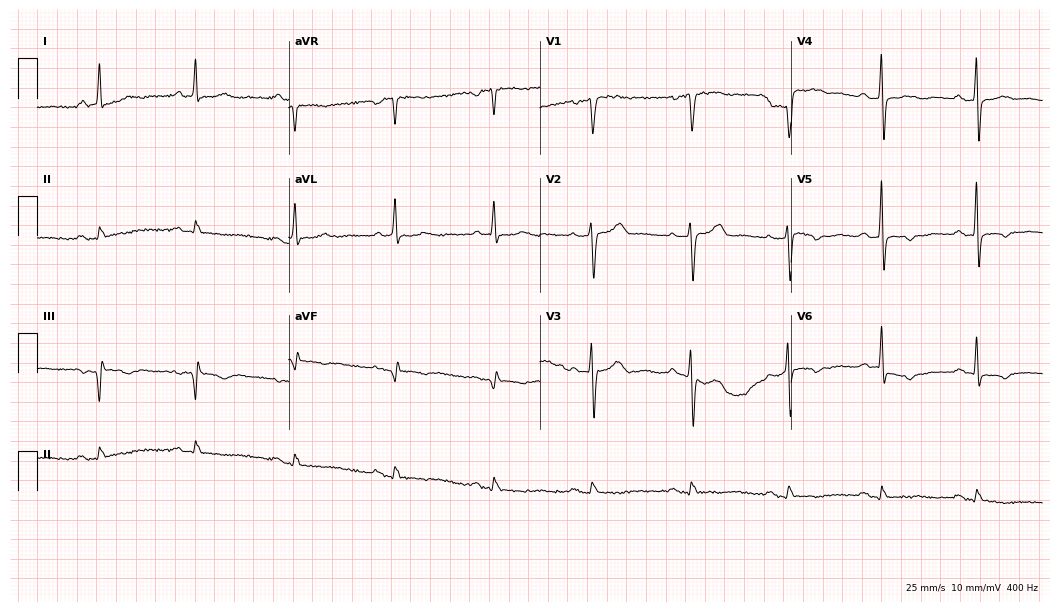
Resting 12-lead electrocardiogram (10.2-second recording at 400 Hz). Patient: a man, 65 years old. None of these six findings is recorded: first-degree AV block, right bundle branch block, left bundle branch block, sinus bradycardia, atrial fibrillation, sinus tachycardia. Findings outside these six are not listed.